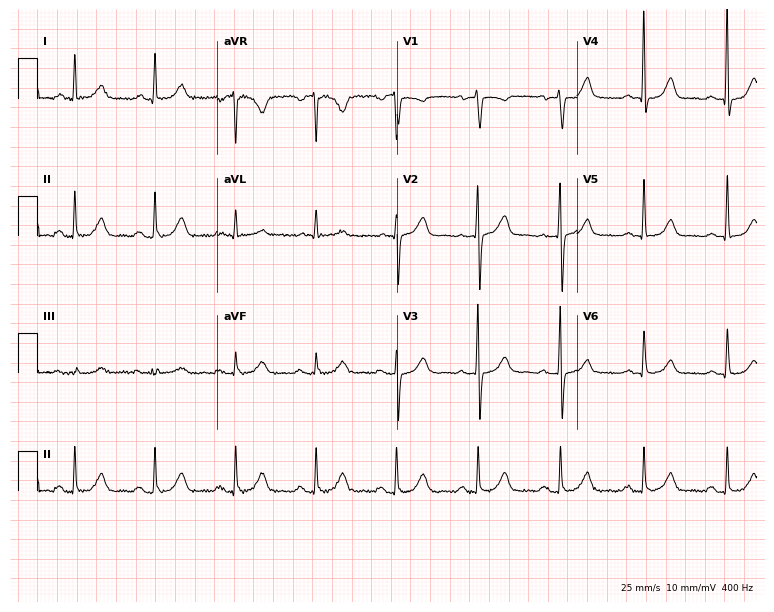
ECG (7.3-second recording at 400 Hz) — a 65-year-old woman. Labelled as a normal ECG.